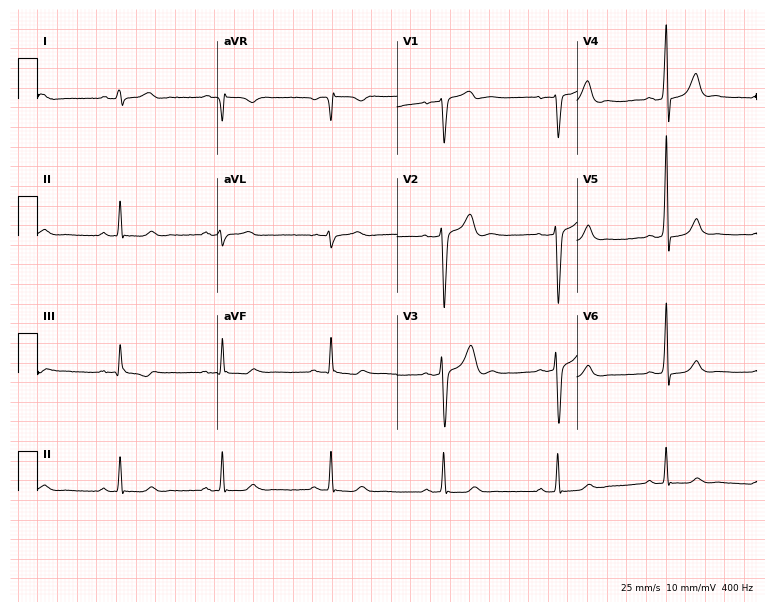
12-lead ECG (7.3-second recording at 400 Hz) from a 39-year-old man. Screened for six findings — first-degree AV block, right bundle branch block, left bundle branch block, sinus bradycardia, atrial fibrillation, sinus tachycardia — none is recorded. Only these six findings were labelled.